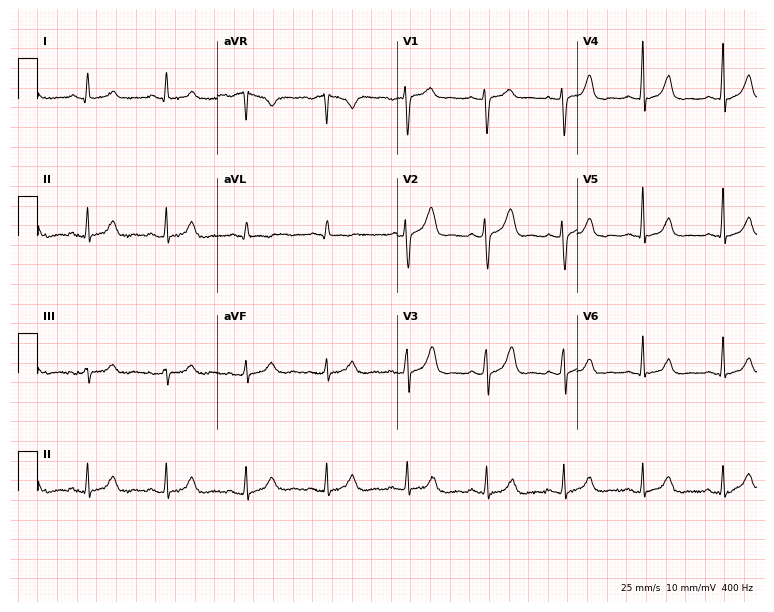
Electrocardiogram (7.3-second recording at 400 Hz), a 34-year-old female. Of the six screened findings (first-degree AV block, right bundle branch block (RBBB), left bundle branch block (LBBB), sinus bradycardia, atrial fibrillation (AF), sinus tachycardia), none is recorded. Other findings, if any, are not listed.